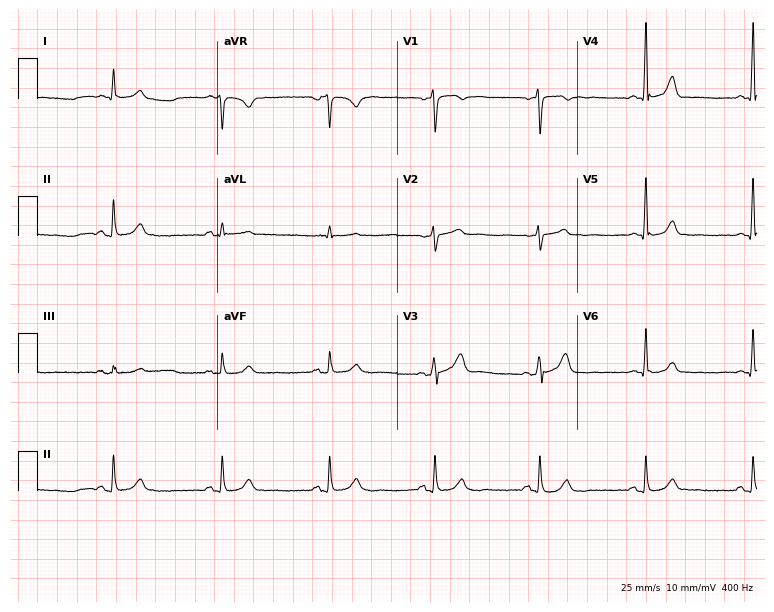
Electrocardiogram (7.3-second recording at 400 Hz), an 81-year-old male patient. Of the six screened findings (first-degree AV block, right bundle branch block (RBBB), left bundle branch block (LBBB), sinus bradycardia, atrial fibrillation (AF), sinus tachycardia), none is recorded.